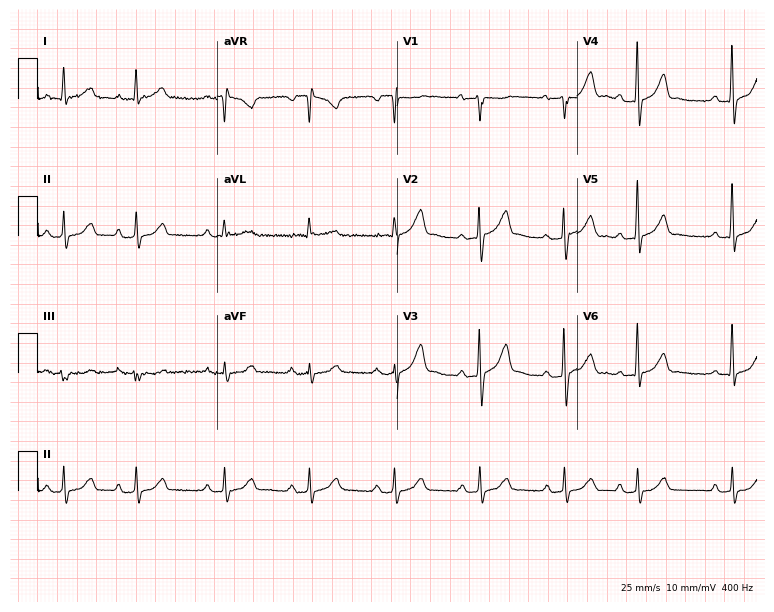
Resting 12-lead electrocardiogram. Patient: a man, 64 years old. None of these six findings is recorded: first-degree AV block, right bundle branch block, left bundle branch block, sinus bradycardia, atrial fibrillation, sinus tachycardia. Only these six findings were labelled.